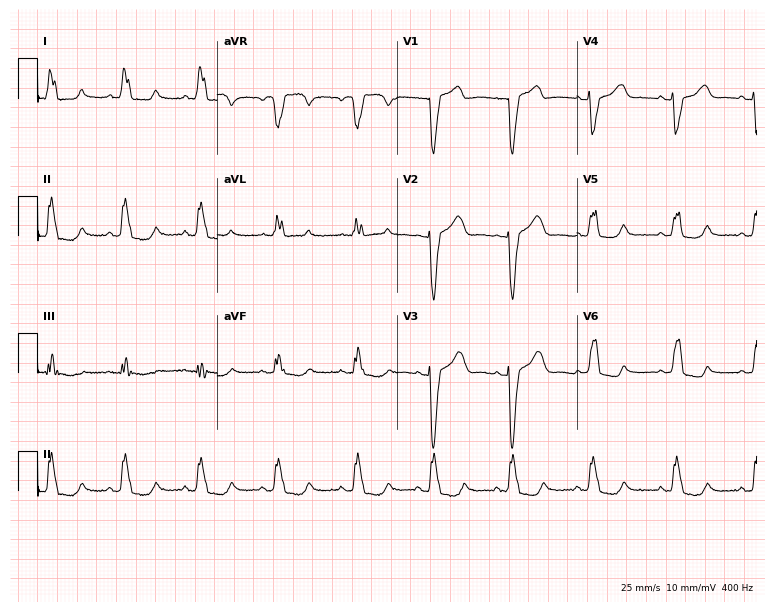
12-lead ECG (7.3-second recording at 400 Hz) from a 71-year-old female. Findings include left bundle branch block.